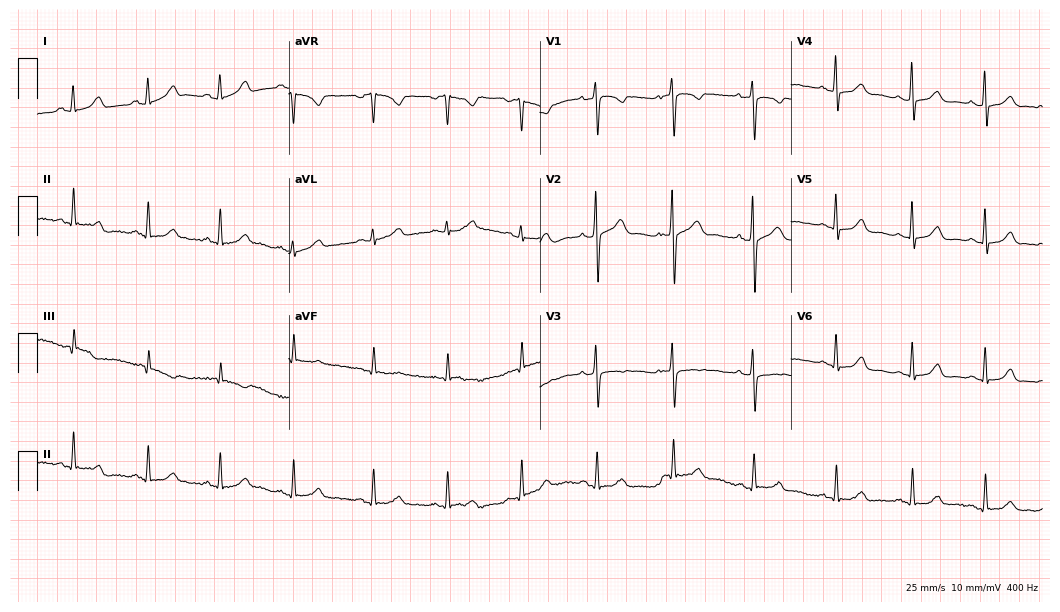
ECG — a female, 29 years old. Labelled as a normal ECG.